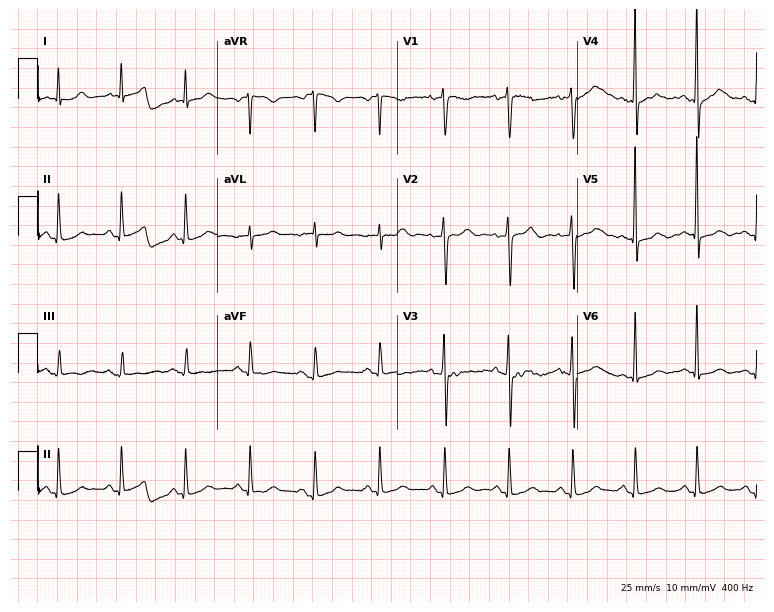
ECG (7.3-second recording at 400 Hz) — a female patient, 56 years old. Screened for six findings — first-degree AV block, right bundle branch block, left bundle branch block, sinus bradycardia, atrial fibrillation, sinus tachycardia — none is recorded. Findings outside these six are not listed.